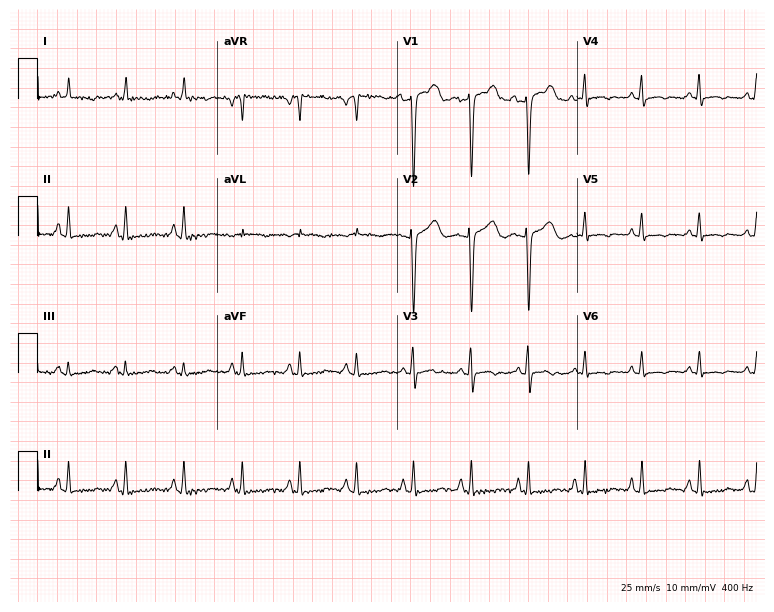
Standard 12-lead ECG recorded from a 58-year-old female (7.3-second recording at 400 Hz). The tracing shows sinus tachycardia (a sinus rate of 100 beats per minute or more).